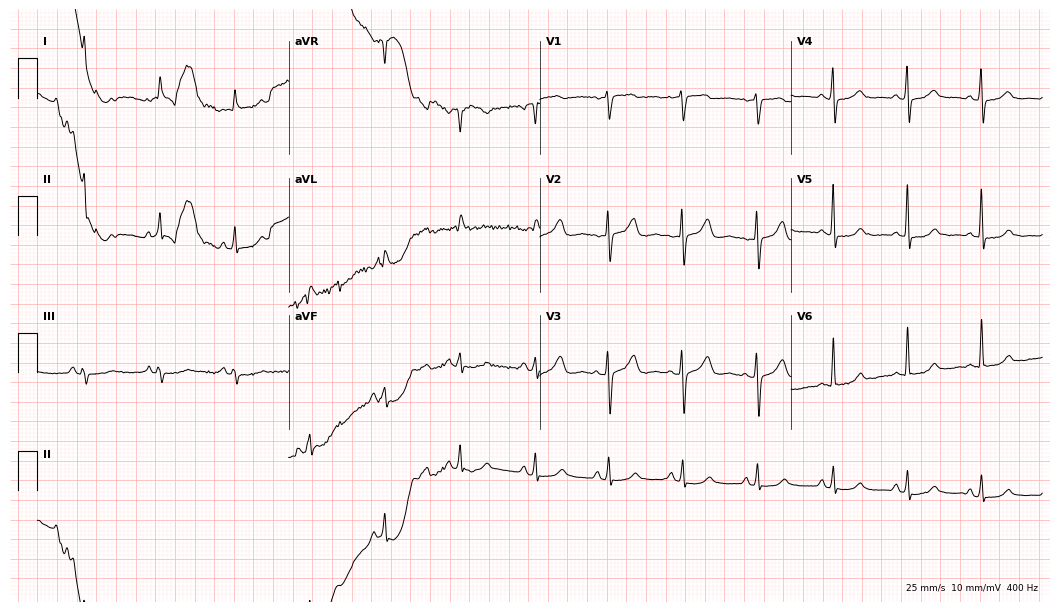
Resting 12-lead electrocardiogram (10.2-second recording at 400 Hz). Patient: a female, 61 years old. None of these six findings is recorded: first-degree AV block, right bundle branch block, left bundle branch block, sinus bradycardia, atrial fibrillation, sinus tachycardia. Only these six findings were labelled.